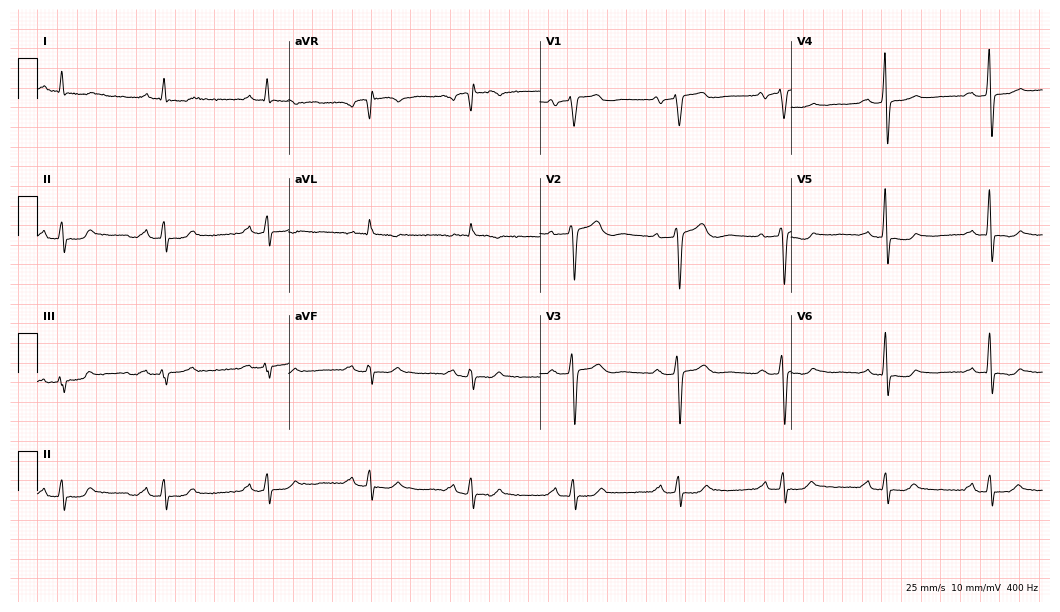
12-lead ECG from a male patient, 64 years old. Shows first-degree AV block.